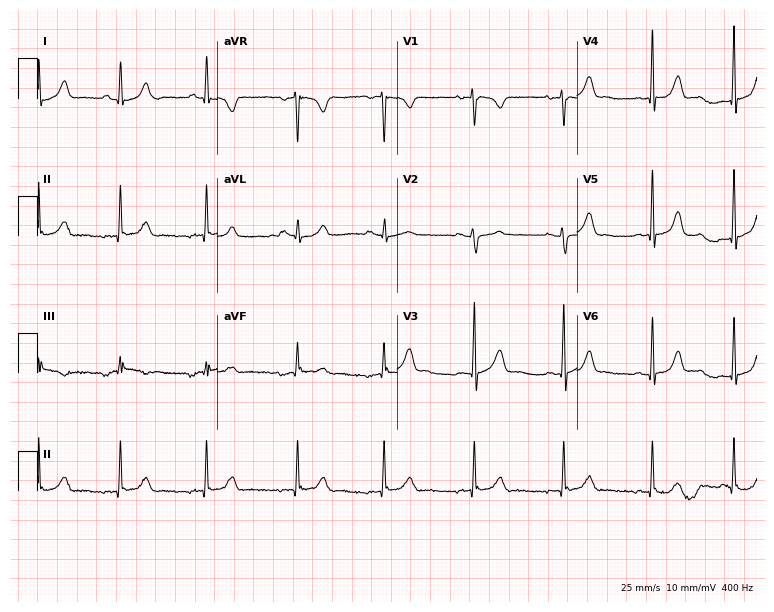
Standard 12-lead ECG recorded from a 21-year-old woman (7.3-second recording at 400 Hz). None of these six findings is recorded: first-degree AV block, right bundle branch block (RBBB), left bundle branch block (LBBB), sinus bradycardia, atrial fibrillation (AF), sinus tachycardia.